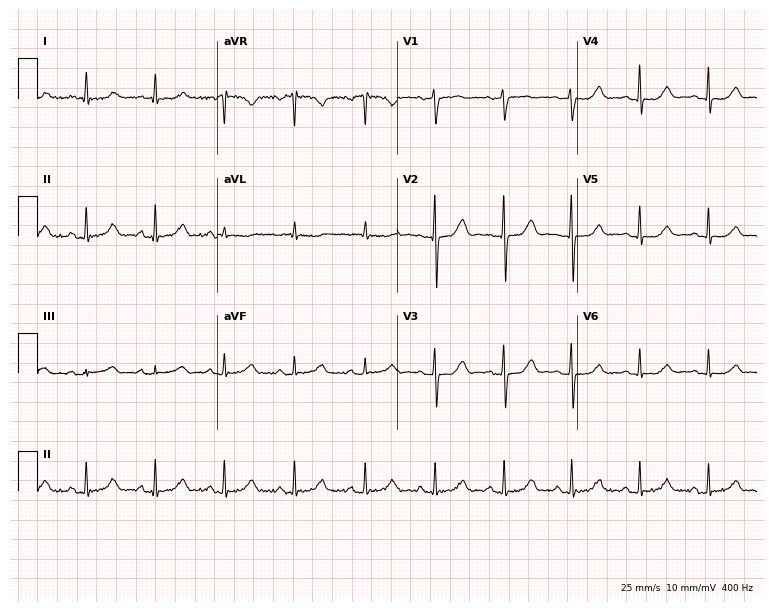
Standard 12-lead ECG recorded from a 61-year-old female patient (7.3-second recording at 400 Hz). Read as a normal ECG.